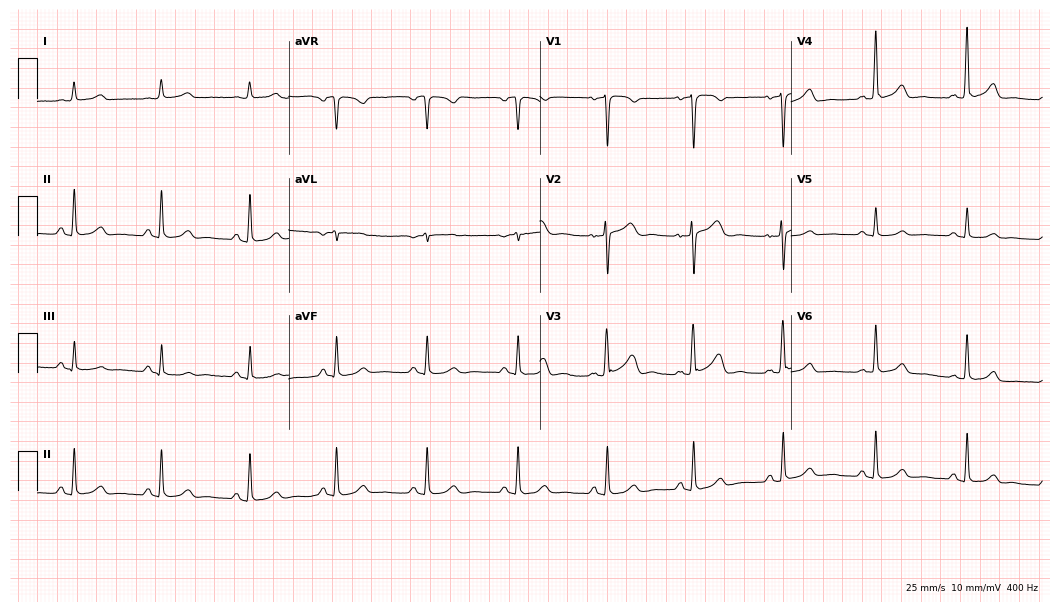
Electrocardiogram, a 59-year-old female. Overall reading on record: normal ECG.